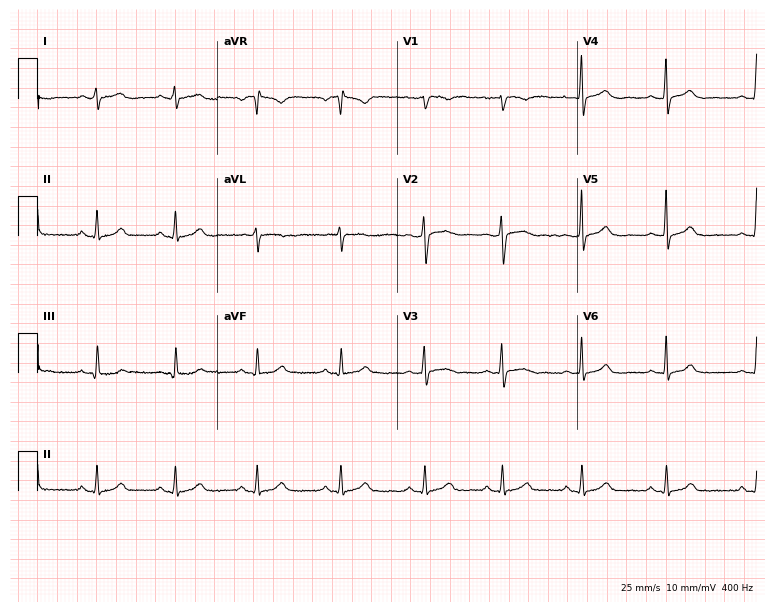
Resting 12-lead electrocardiogram (7.3-second recording at 400 Hz). Patient: a woman, 21 years old. Read as a normal ECG.